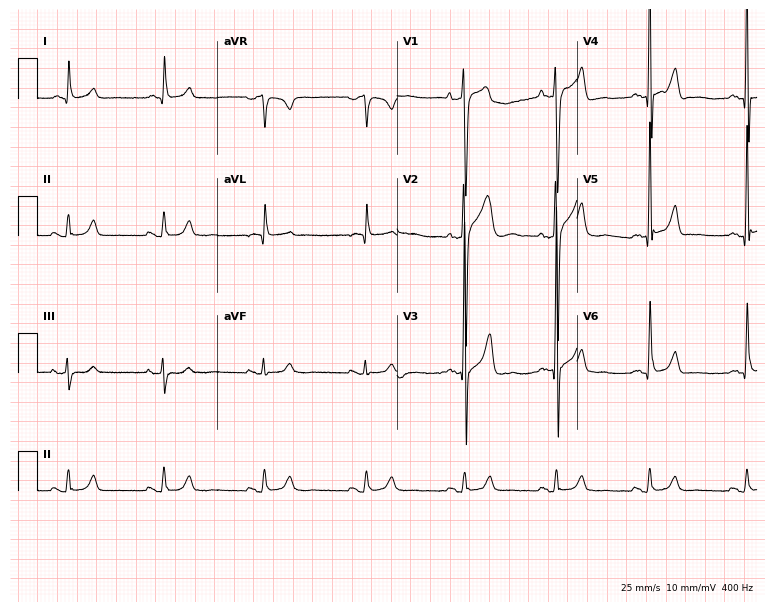
12-lead ECG from a 60-year-old male. Recorded interpretation: within normal limits.